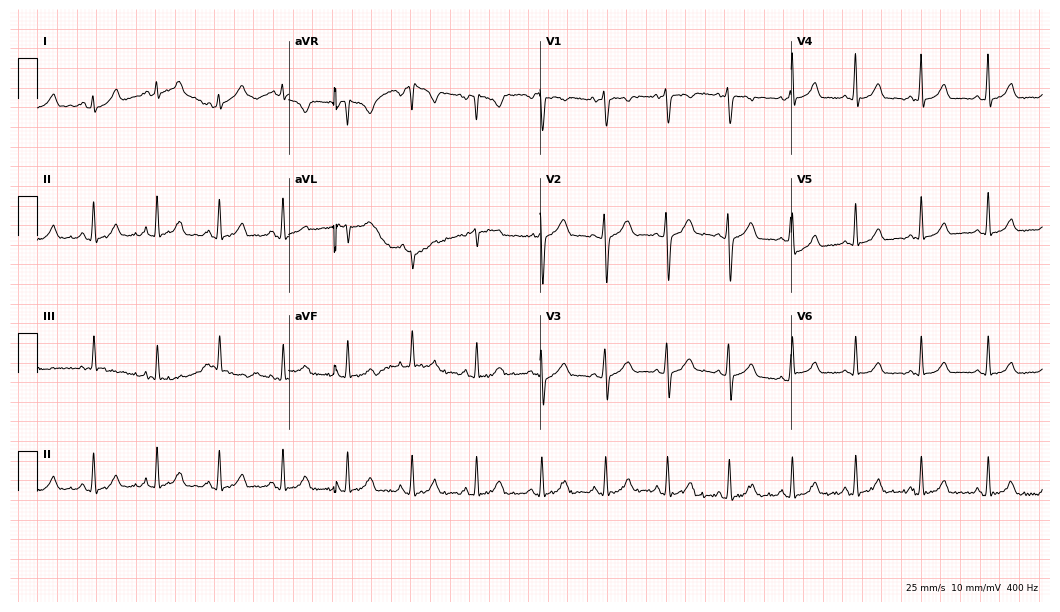
12-lead ECG from a woman, 20 years old (10.2-second recording at 400 Hz). Recorded interpretation: within normal limits.